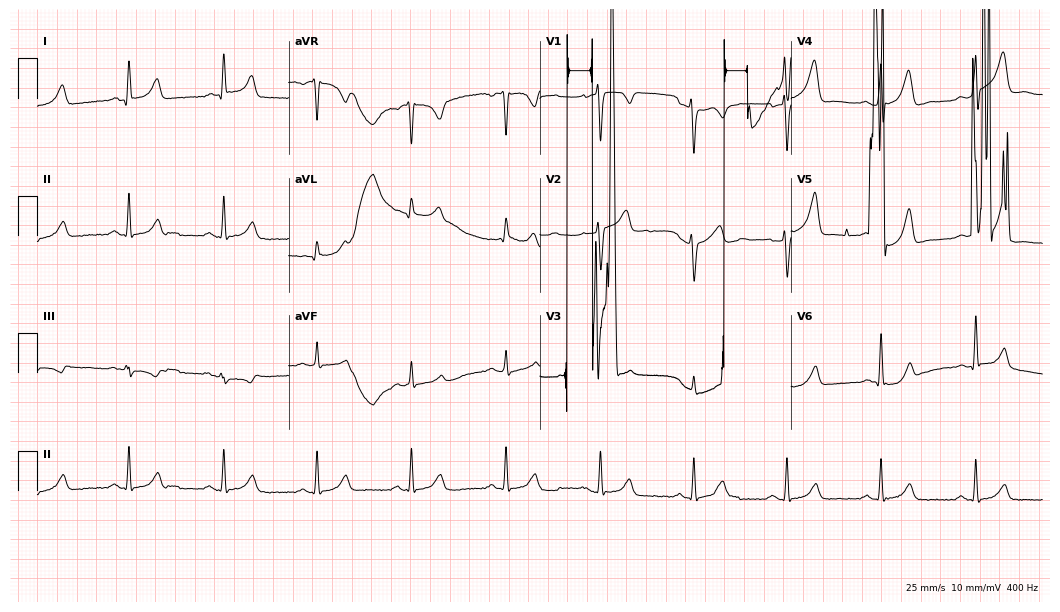
ECG — a male, 38 years old. Labelled as a normal ECG.